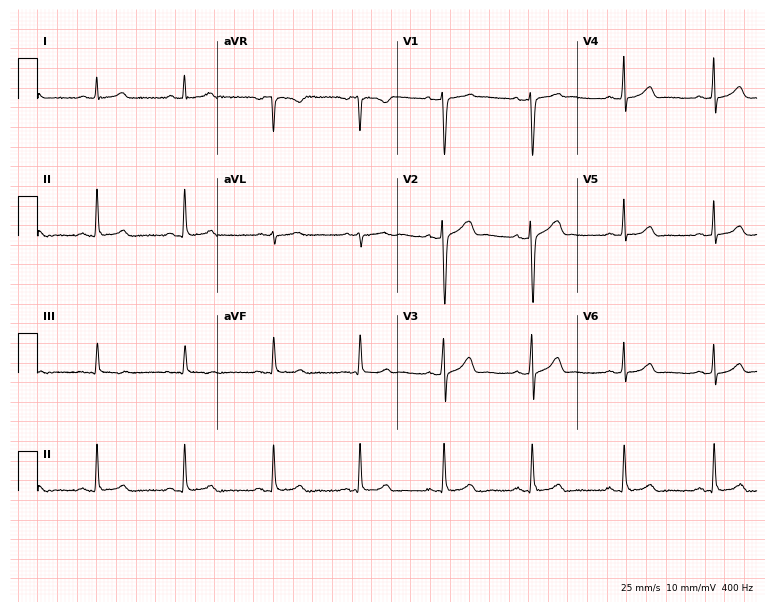
ECG — a female patient, 42 years old. Screened for six findings — first-degree AV block, right bundle branch block, left bundle branch block, sinus bradycardia, atrial fibrillation, sinus tachycardia — none is recorded.